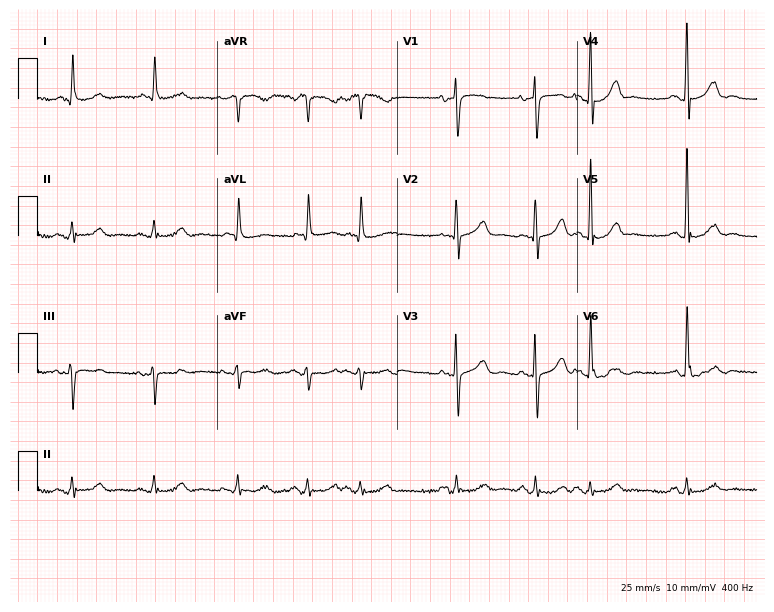
Resting 12-lead electrocardiogram. Patient: an 81-year-old woman. None of these six findings is recorded: first-degree AV block, right bundle branch block, left bundle branch block, sinus bradycardia, atrial fibrillation, sinus tachycardia.